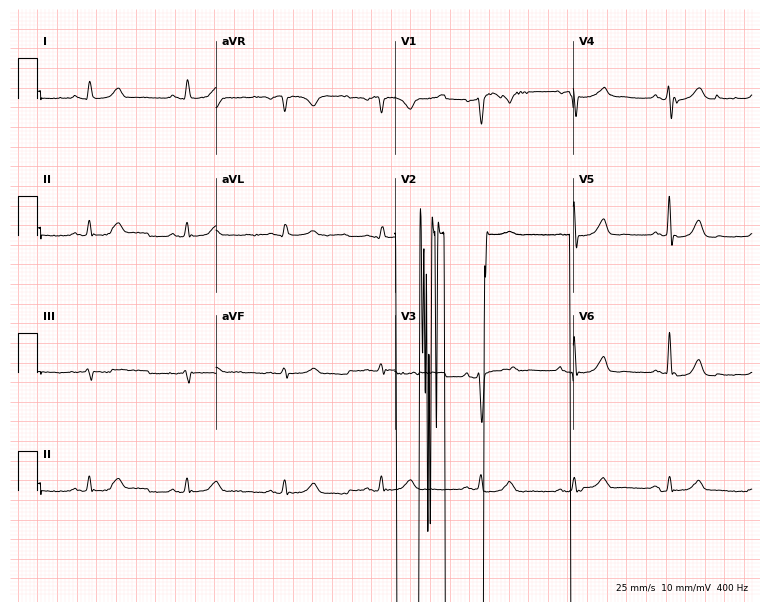
12-lead ECG from a female patient, 59 years old. Screened for six findings — first-degree AV block, right bundle branch block (RBBB), left bundle branch block (LBBB), sinus bradycardia, atrial fibrillation (AF), sinus tachycardia — none is recorded. Only these six findings were labelled.